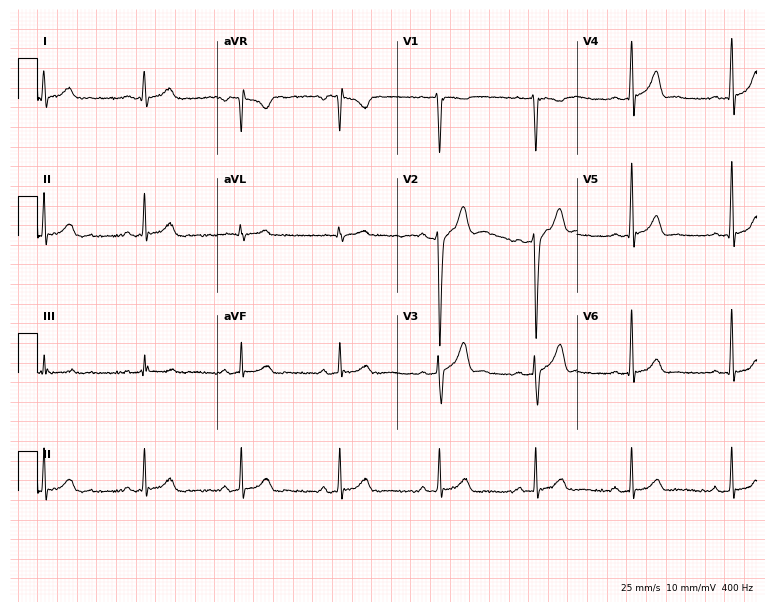
Resting 12-lead electrocardiogram (7.3-second recording at 400 Hz). Patient: a 38-year-old man. None of these six findings is recorded: first-degree AV block, right bundle branch block, left bundle branch block, sinus bradycardia, atrial fibrillation, sinus tachycardia.